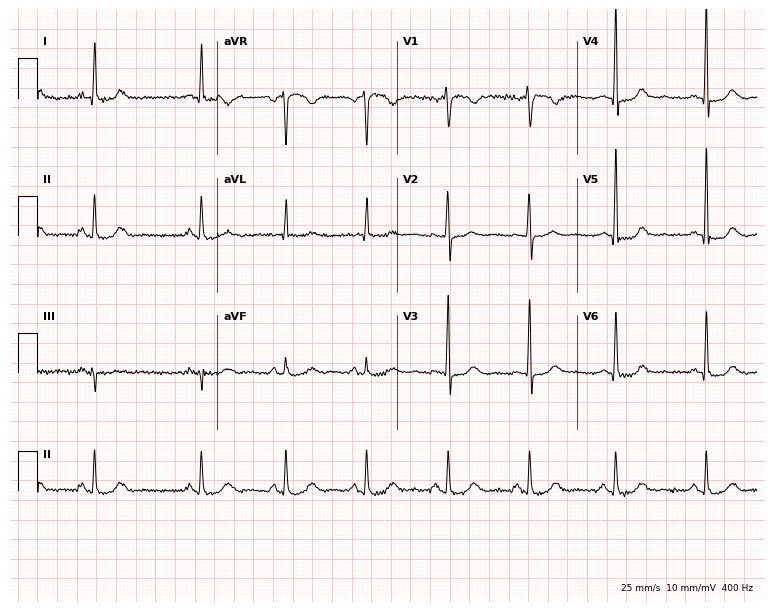
12-lead ECG (7.3-second recording at 400 Hz) from a 57-year-old woman. Screened for six findings — first-degree AV block, right bundle branch block, left bundle branch block, sinus bradycardia, atrial fibrillation, sinus tachycardia — none is recorded. Findings outside these six are not listed.